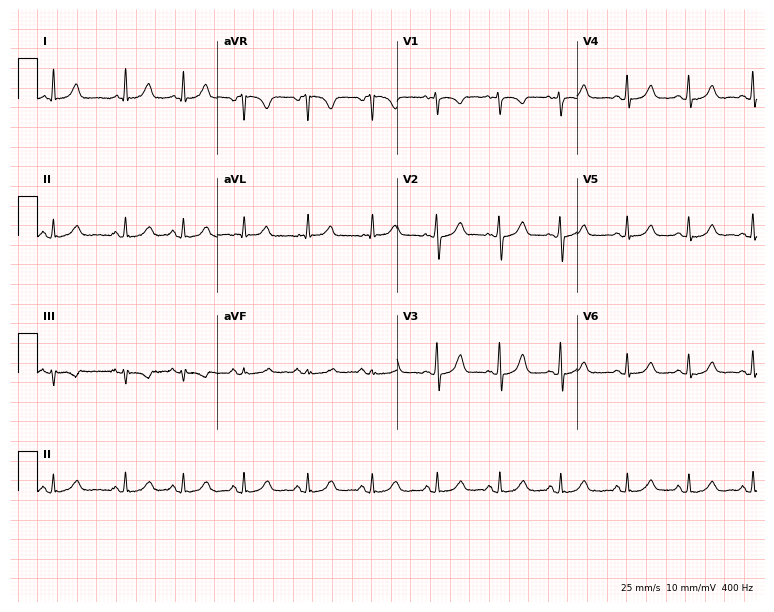
12-lead ECG from a female, 60 years old (7.3-second recording at 400 Hz). Recorded interpretation: within normal limits.